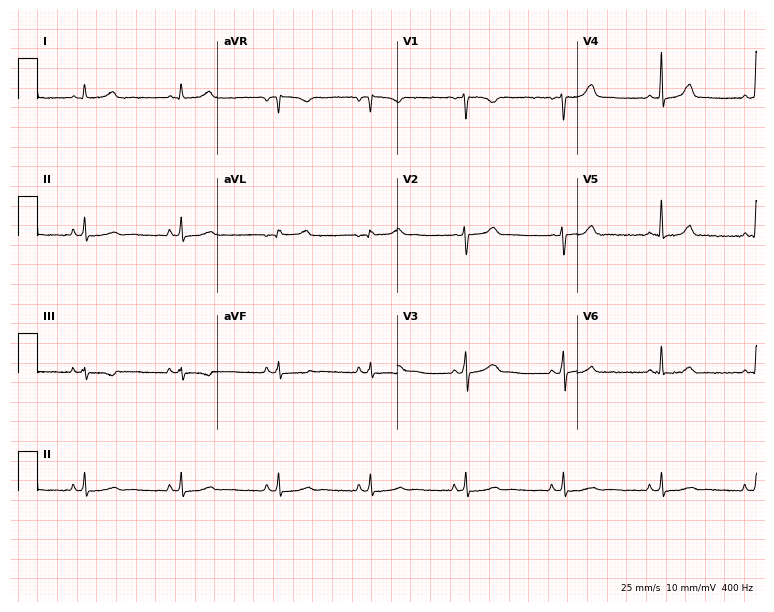
Resting 12-lead electrocardiogram (7.3-second recording at 400 Hz). Patient: a woman, 40 years old. Read as a normal ECG.